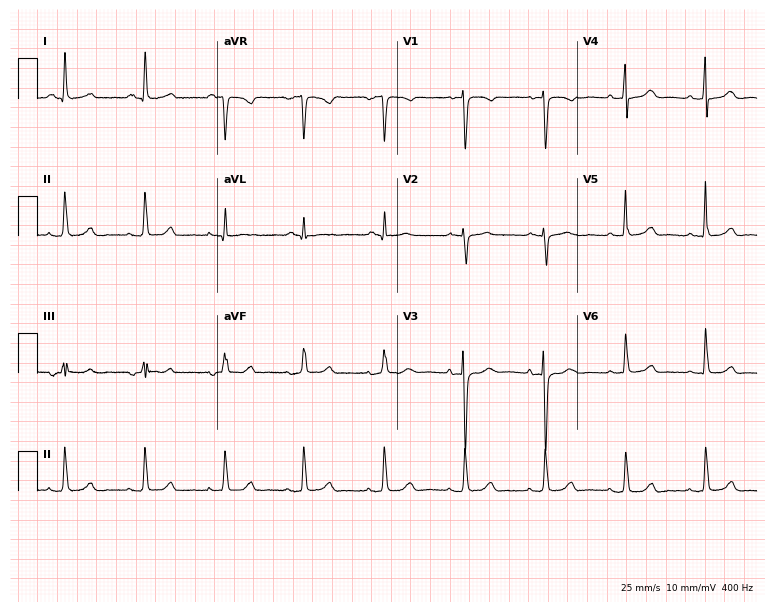
12-lead ECG (7.3-second recording at 400 Hz) from a 69-year-old female patient. Labelled as a normal ECG.